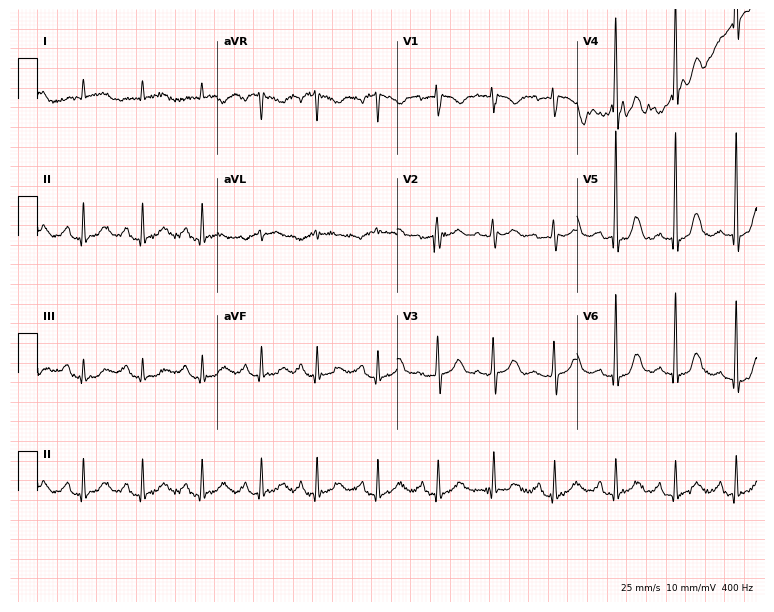
12-lead ECG (7.3-second recording at 400 Hz) from a 67-year-old woman. Screened for six findings — first-degree AV block, right bundle branch block, left bundle branch block, sinus bradycardia, atrial fibrillation, sinus tachycardia — none is recorded.